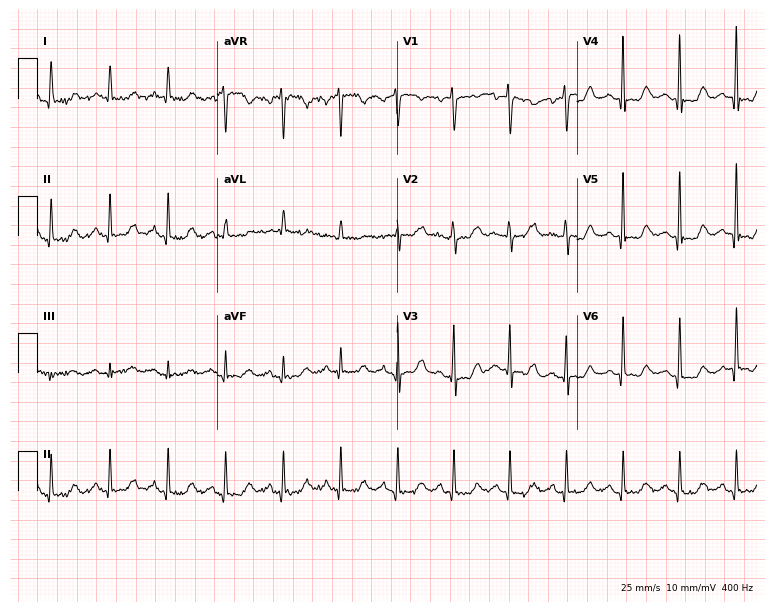
Electrocardiogram, a female, 48 years old. Interpretation includes sinus tachycardia (a sinus rate of 100 beats per minute or more).